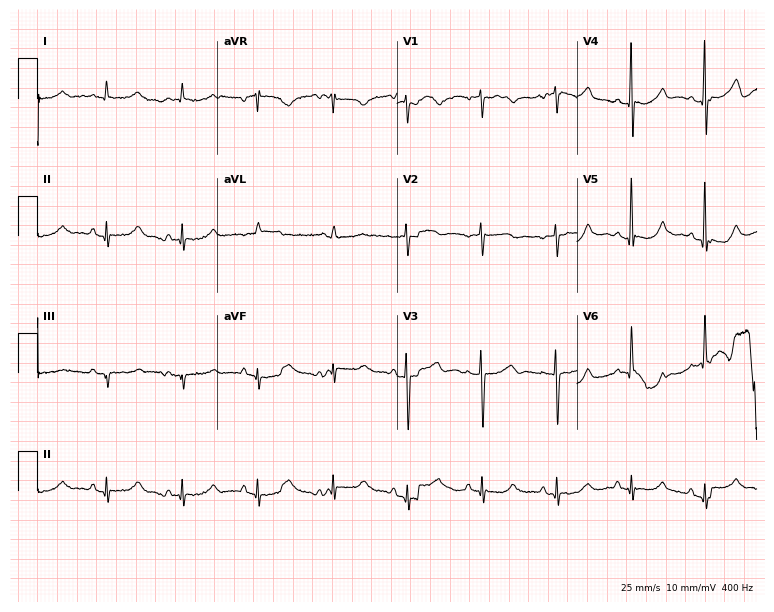
Electrocardiogram (7.3-second recording at 400 Hz), an 86-year-old female patient. Of the six screened findings (first-degree AV block, right bundle branch block (RBBB), left bundle branch block (LBBB), sinus bradycardia, atrial fibrillation (AF), sinus tachycardia), none is recorded. Other findings, if any, are not listed.